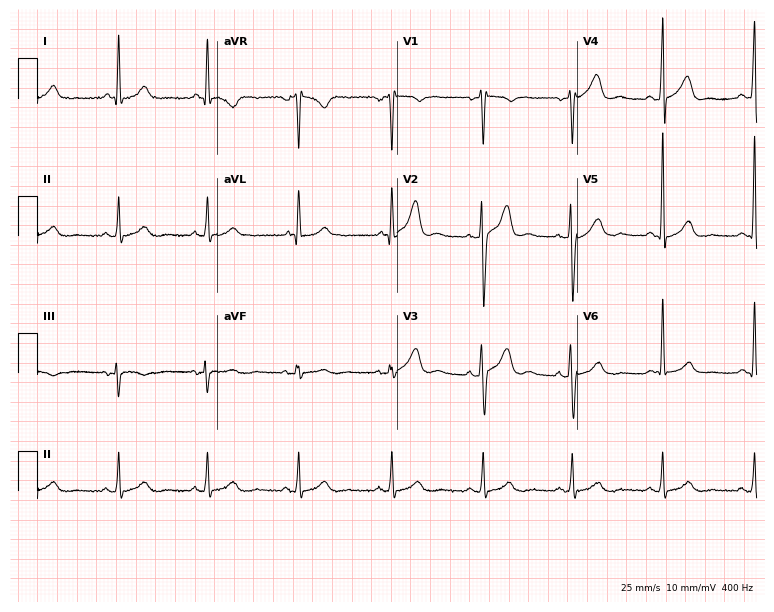
Electrocardiogram, a 59-year-old male patient. Of the six screened findings (first-degree AV block, right bundle branch block (RBBB), left bundle branch block (LBBB), sinus bradycardia, atrial fibrillation (AF), sinus tachycardia), none is recorded. Other findings, if any, are not listed.